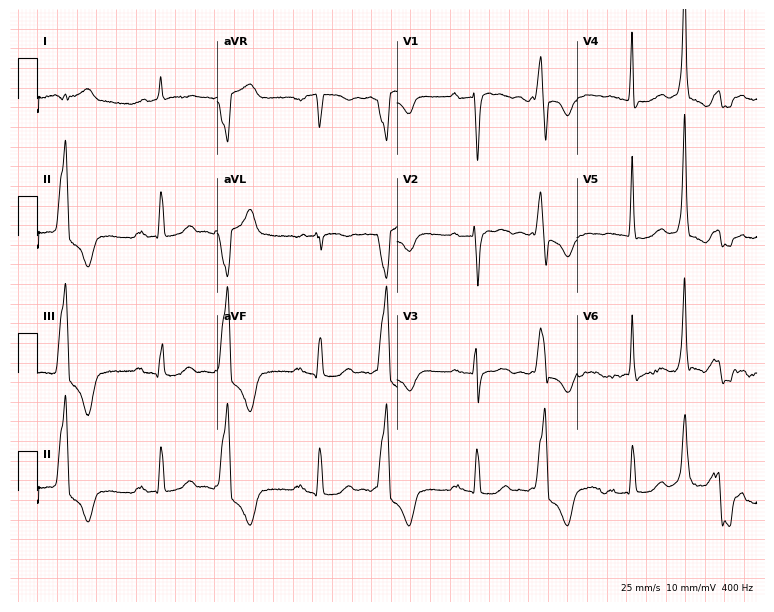
12-lead ECG from an 81-year-old male. No first-degree AV block, right bundle branch block, left bundle branch block, sinus bradycardia, atrial fibrillation or sinus tachycardia recorded for this tracing.